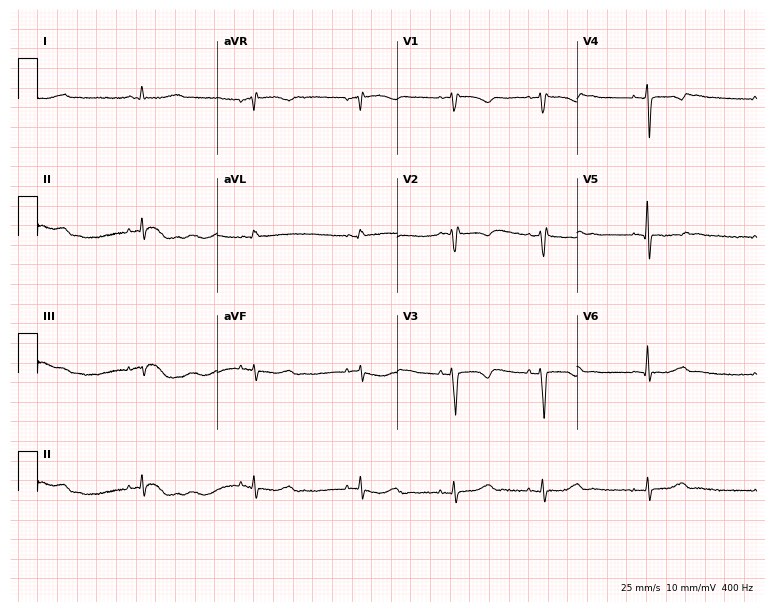
12-lead ECG from a 70-year-old woman (7.3-second recording at 400 Hz). No first-degree AV block, right bundle branch block (RBBB), left bundle branch block (LBBB), sinus bradycardia, atrial fibrillation (AF) or sinus tachycardia recorded for this tracing.